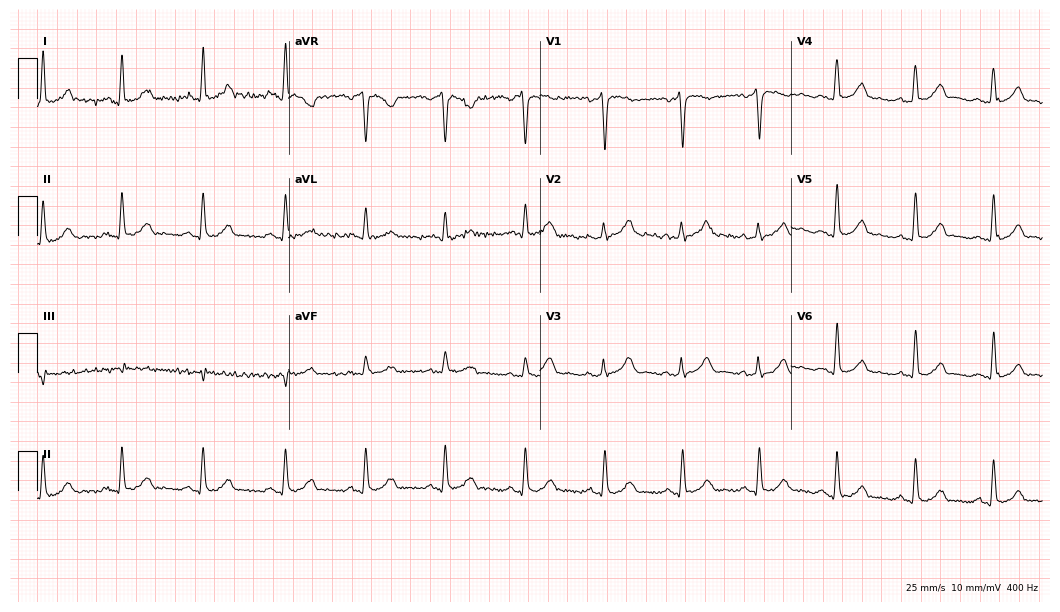
12-lead ECG from a 32-year-old man (10.2-second recording at 400 Hz). Recorded interpretation: within normal limits.